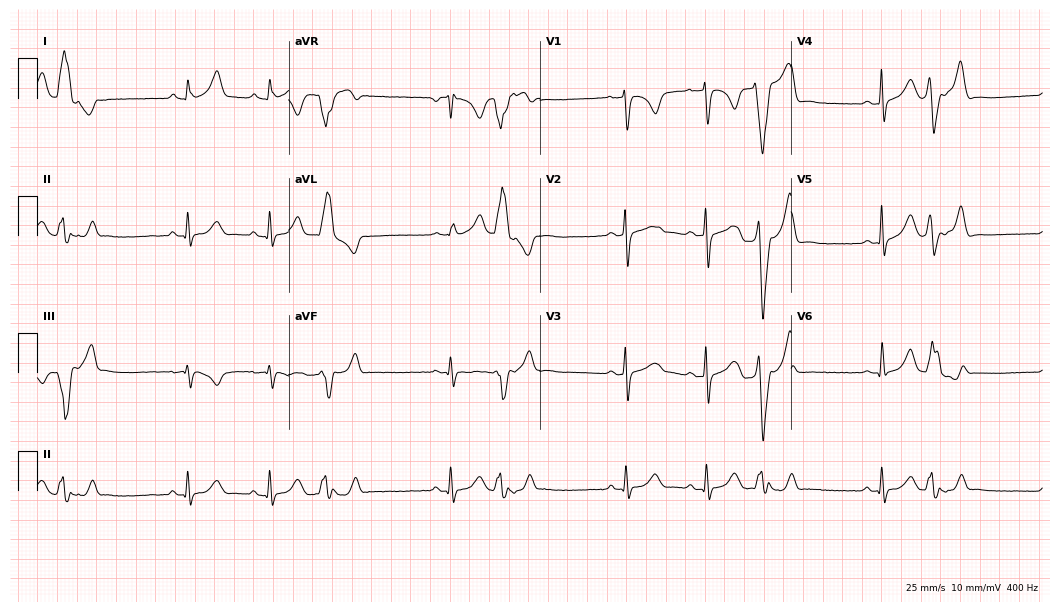
Resting 12-lead electrocardiogram (10.2-second recording at 400 Hz). Patient: a 24-year-old male. None of these six findings is recorded: first-degree AV block, right bundle branch block, left bundle branch block, sinus bradycardia, atrial fibrillation, sinus tachycardia. Findings outside these six are not listed.